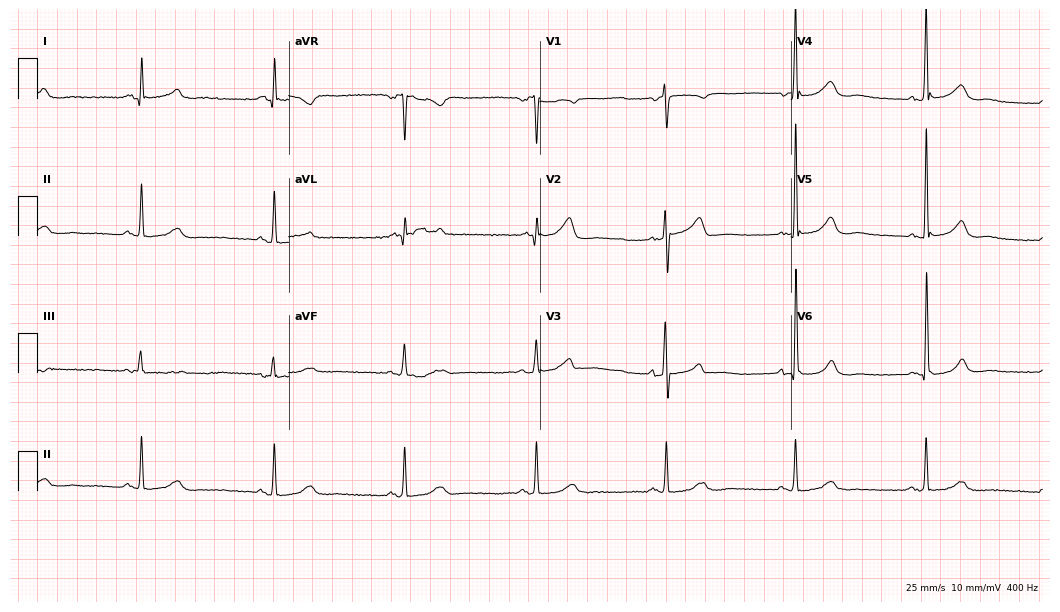
Standard 12-lead ECG recorded from an 81-year-old male. The tracing shows sinus bradycardia (a sinus rate of 50 beats per minute or less).